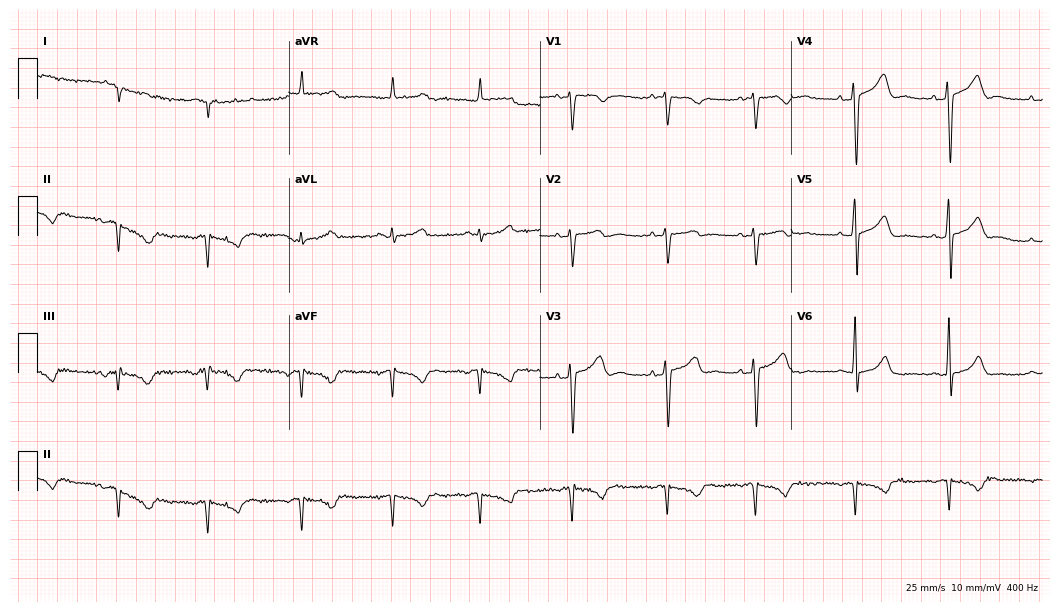
Resting 12-lead electrocardiogram (10.2-second recording at 400 Hz). Patient: a female, 40 years old. None of these six findings is recorded: first-degree AV block, right bundle branch block, left bundle branch block, sinus bradycardia, atrial fibrillation, sinus tachycardia.